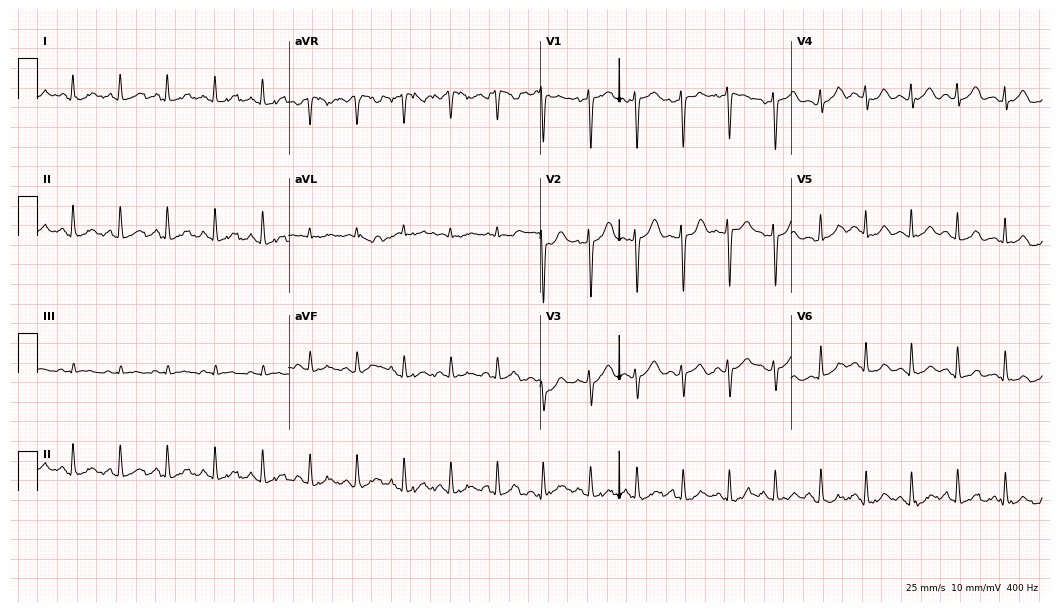
12-lead ECG from a 40-year-old woman. No first-degree AV block, right bundle branch block, left bundle branch block, sinus bradycardia, atrial fibrillation or sinus tachycardia recorded for this tracing.